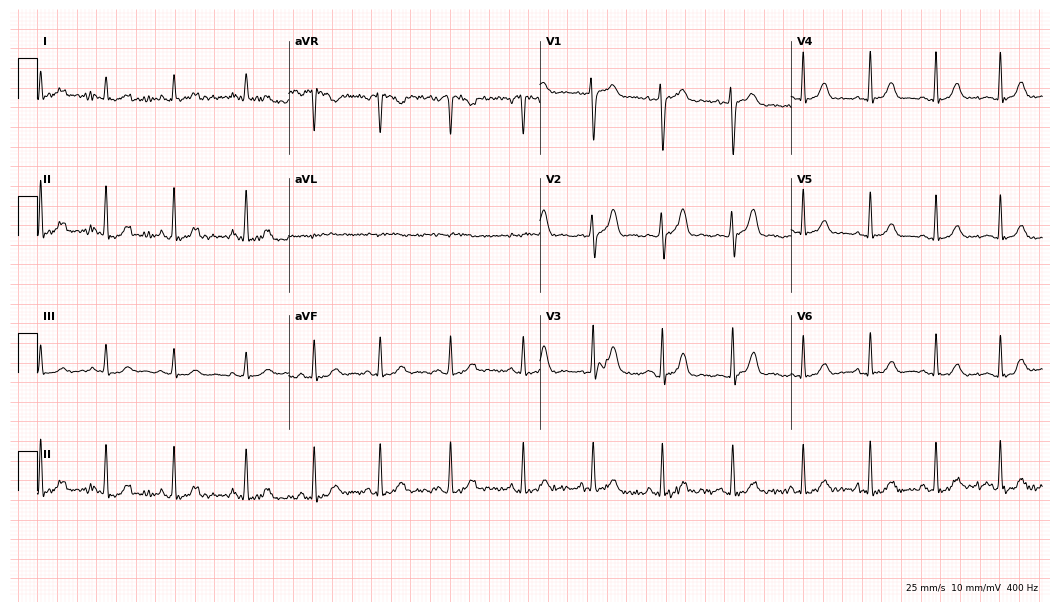
ECG (10.2-second recording at 400 Hz) — a female patient, 30 years old. Labelled as a normal ECG.